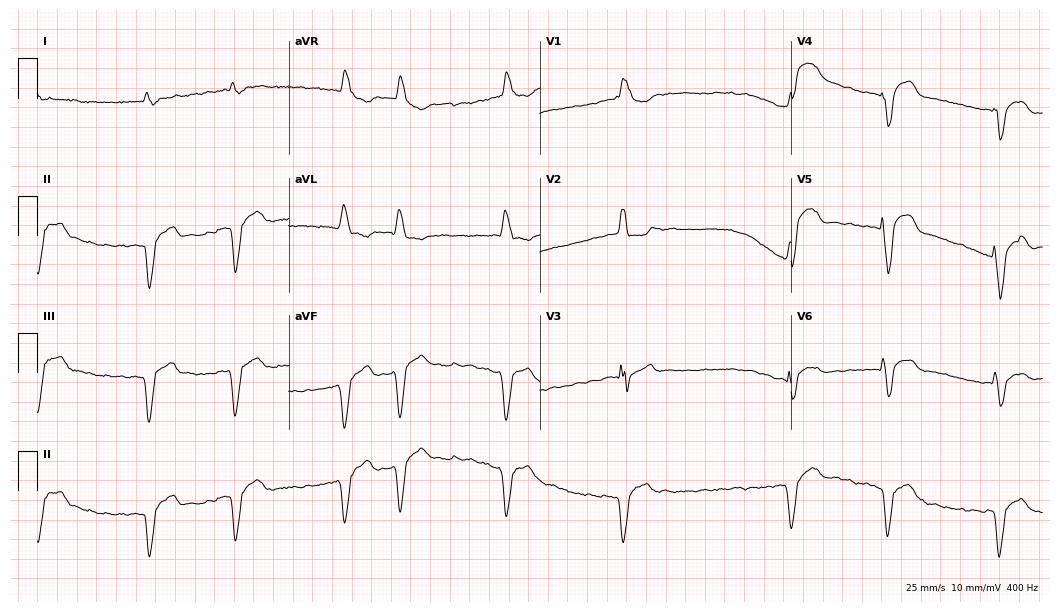
12-lead ECG (10.2-second recording at 400 Hz) from a 78-year-old male. Screened for six findings — first-degree AV block, right bundle branch block, left bundle branch block, sinus bradycardia, atrial fibrillation, sinus tachycardia — none is recorded. Other findings, if any, are not listed.